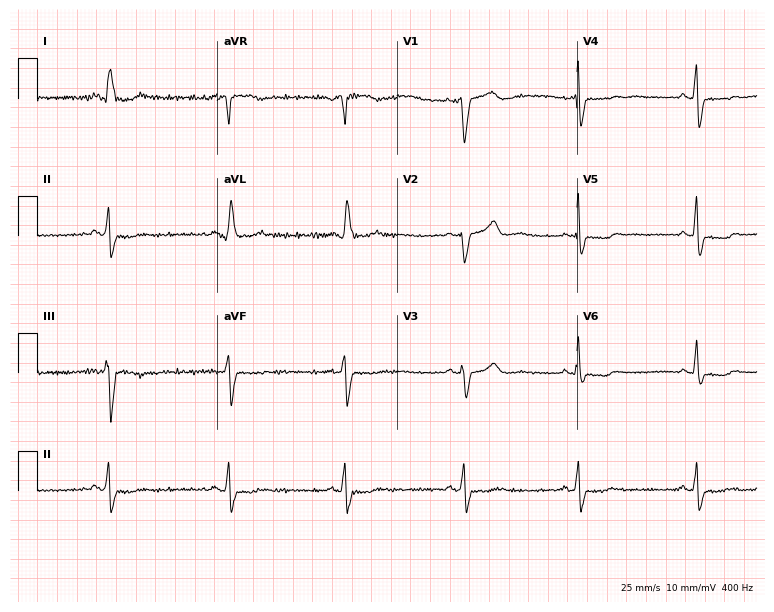
Standard 12-lead ECG recorded from a 69-year-old female patient (7.3-second recording at 400 Hz). The tracing shows left bundle branch block (LBBB).